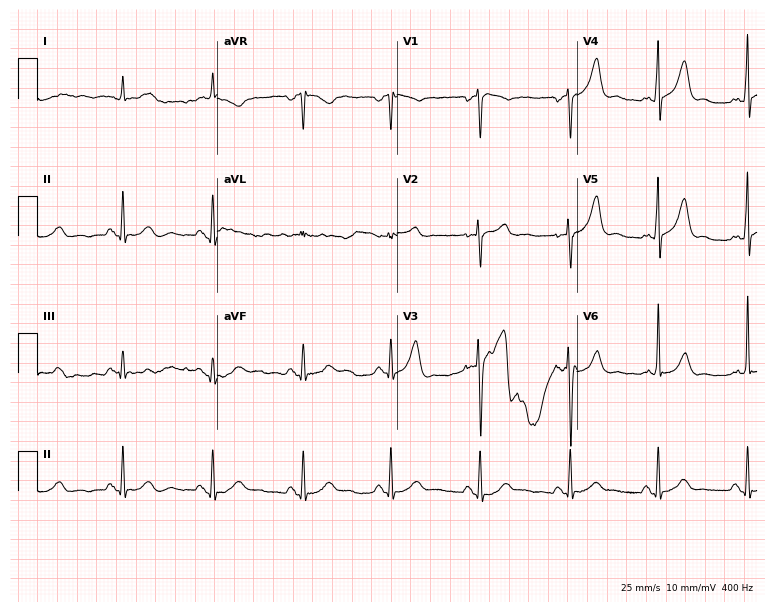
Electrocardiogram (7.3-second recording at 400 Hz), a male, 63 years old. Of the six screened findings (first-degree AV block, right bundle branch block, left bundle branch block, sinus bradycardia, atrial fibrillation, sinus tachycardia), none is recorded. Only these six findings were labelled.